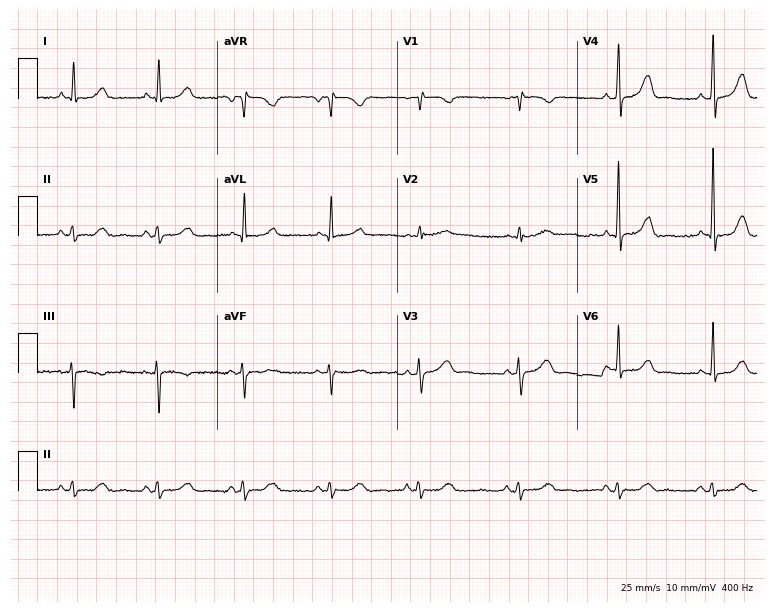
Standard 12-lead ECG recorded from a female, 60 years old. Read as a normal ECG.